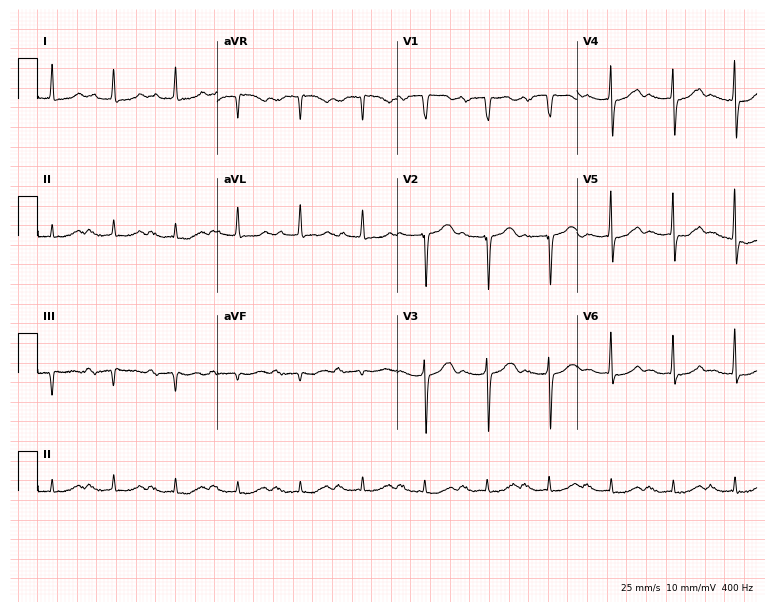
ECG (7.3-second recording at 400 Hz) — a female, 85 years old. Findings include first-degree AV block.